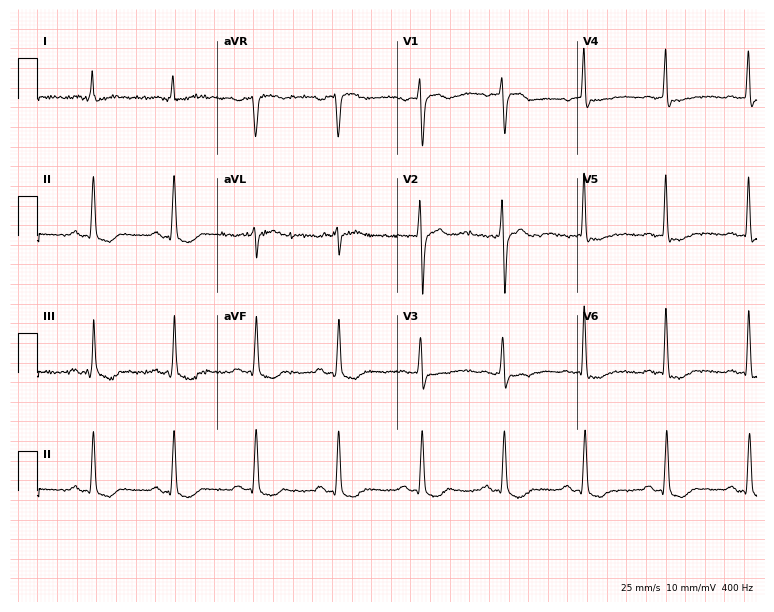
12-lead ECG from a woman, 55 years old (7.3-second recording at 400 Hz). No first-degree AV block, right bundle branch block (RBBB), left bundle branch block (LBBB), sinus bradycardia, atrial fibrillation (AF) or sinus tachycardia recorded for this tracing. Other findings, if any, are not listed.